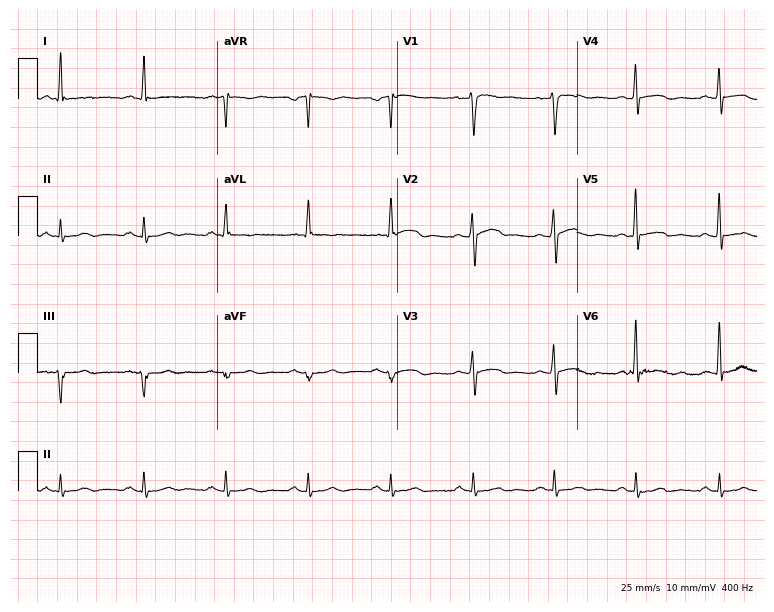
Resting 12-lead electrocardiogram (7.3-second recording at 400 Hz). Patient: a 42-year-old man. Read as a normal ECG.